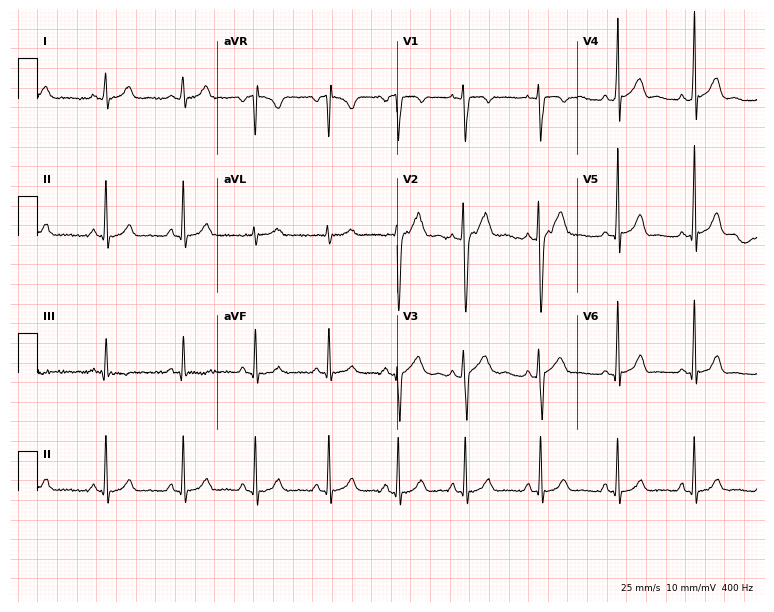
ECG (7.3-second recording at 400 Hz) — a 28-year-old man. Labelled as a normal ECG.